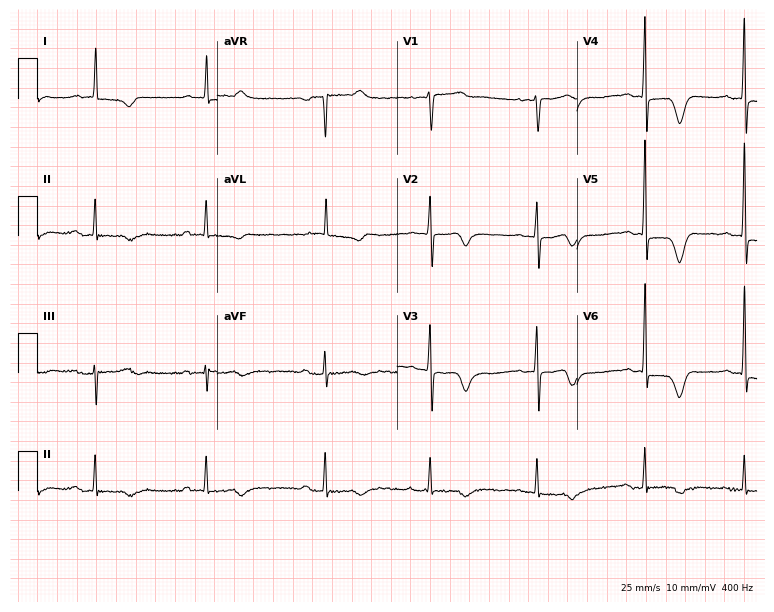
12-lead ECG from a woman, 77 years old. No first-degree AV block, right bundle branch block (RBBB), left bundle branch block (LBBB), sinus bradycardia, atrial fibrillation (AF) or sinus tachycardia recorded for this tracing.